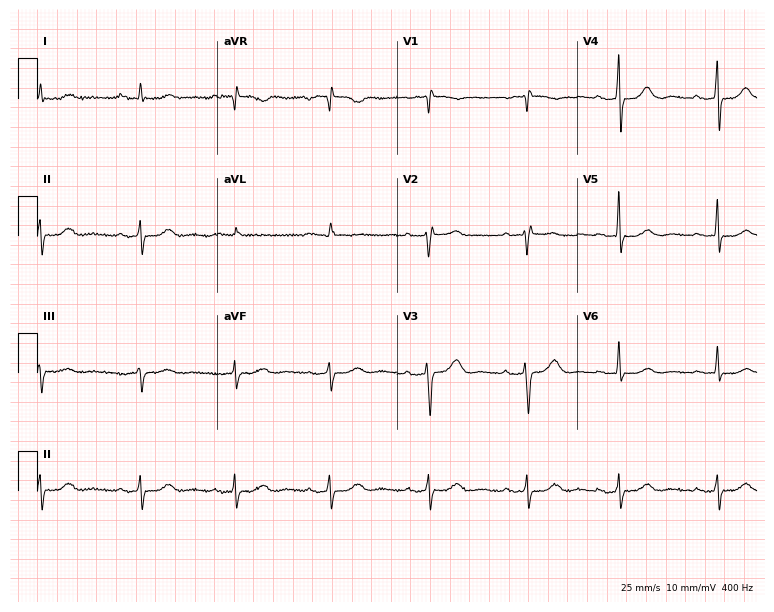
Standard 12-lead ECG recorded from a 17-year-old female patient. Read as a normal ECG.